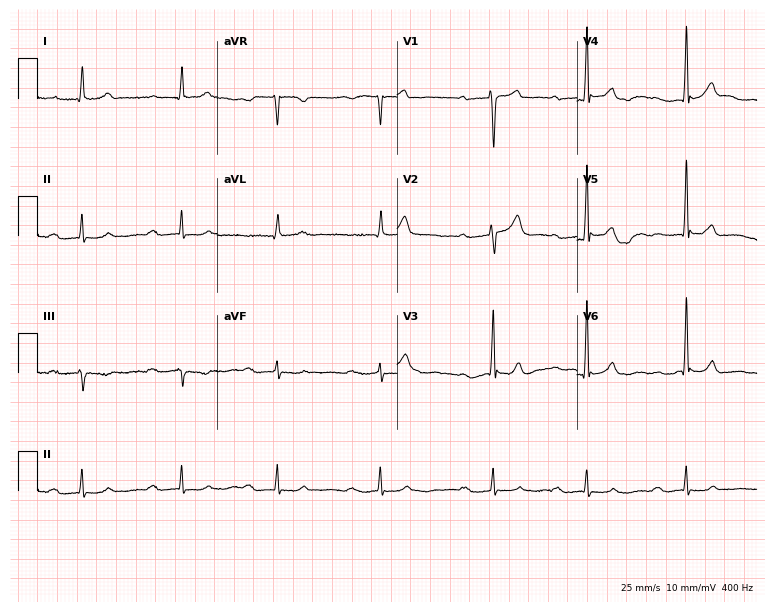
ECG (7.3-second recording at 400 Hz) — a male patient, 52 years old. Findings include first-degree AV block.